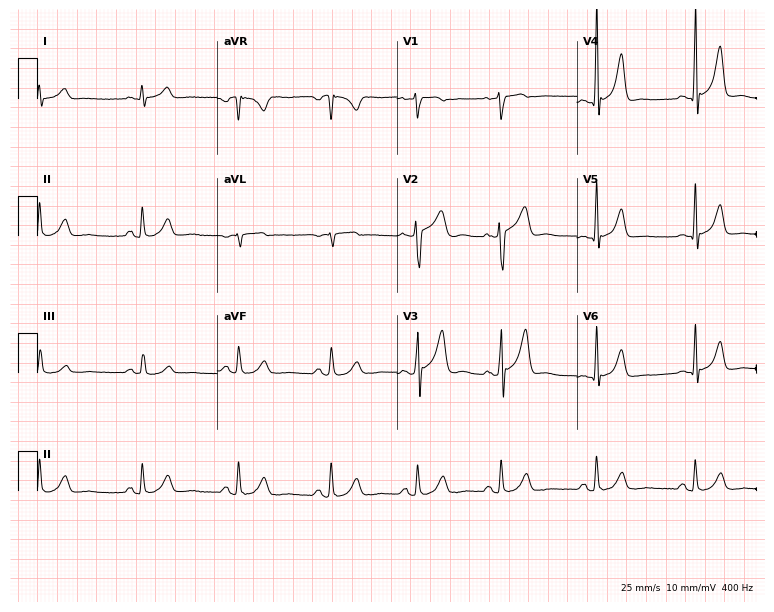
Standard 12-lead ECG recorded from a man, 44 years old (7.3-second recording at 400 Hz). None of these six findings is recorded: first-degree AV block, right bundle branch block (RBBB), left bundle branch block (LBBB), sinus bradycardia, atrial fibrillation (AF), sinus tachycardia.